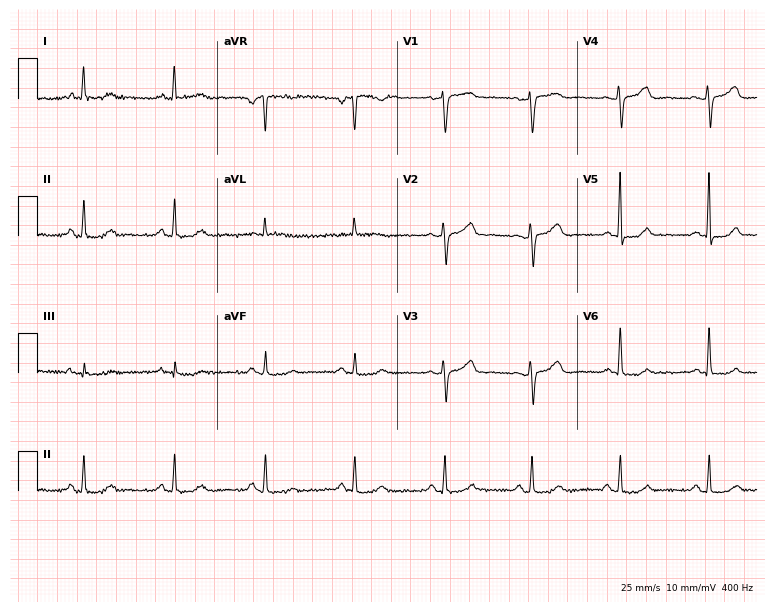
12-lead ECG from a 61-year-old woman. Recorded interpretation: within normal limits.